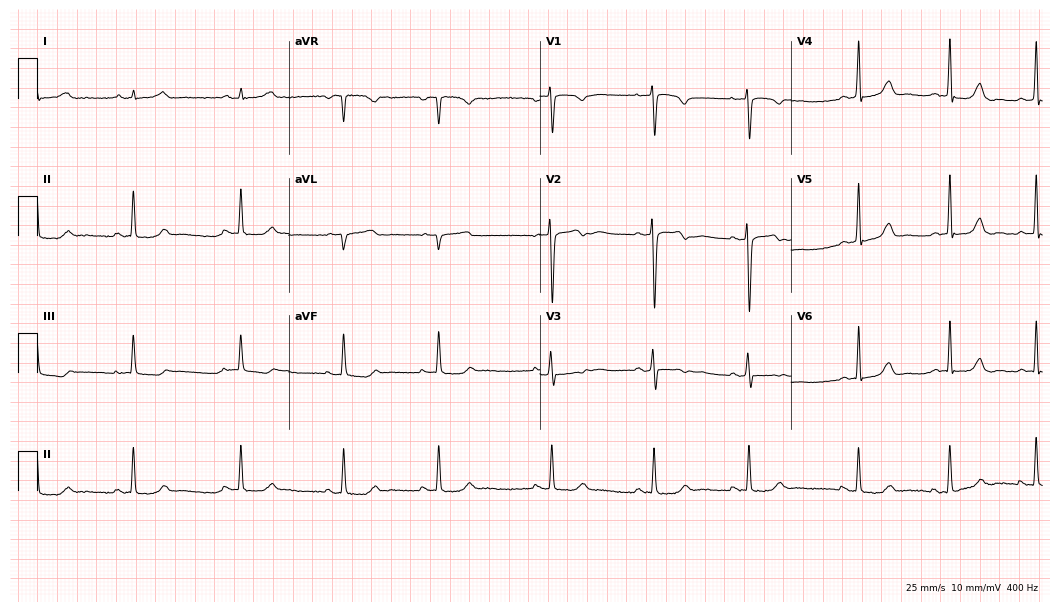
ECG — a 34-year-old female patient. Screened for six findings — first-degree AV block, right bundle branch block, left bundle branch block, sinus bradycardia, atrial fibrillation, sinus tachycardia — none is recorded. Findings outside these six are not listed.